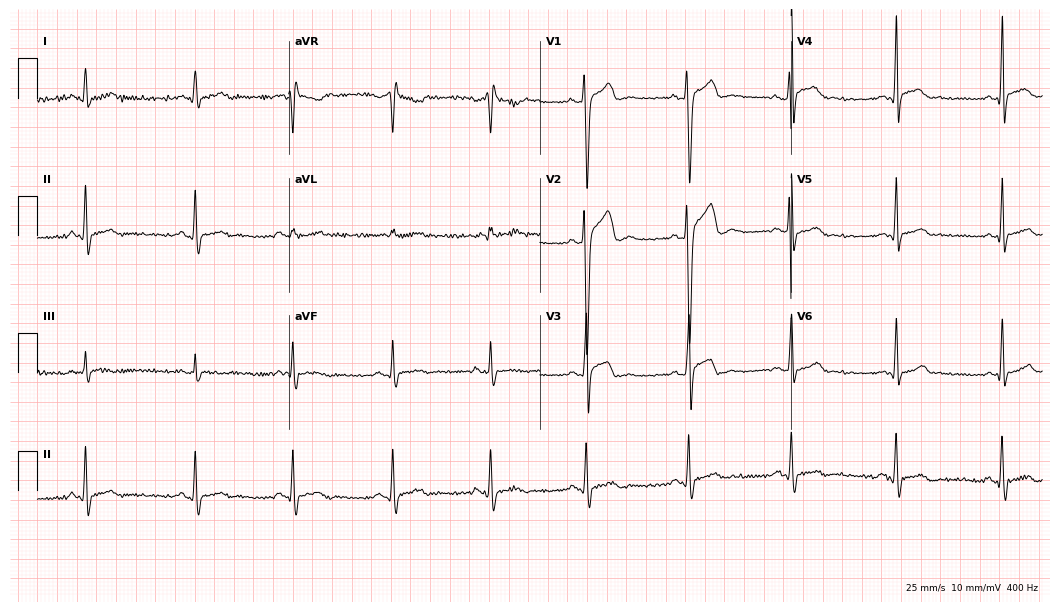
Resting 12-lead electrocardiogram (10.2-second recording at 400 Hz). Patient: a male, 18 years old. None of these six findings is recorded: first-degree AV block, right bundle branch block (RBBB), left bundle branch block (LBBB), sinus bradycardia, atrial fibrillation (AF), sinus tachycardia.